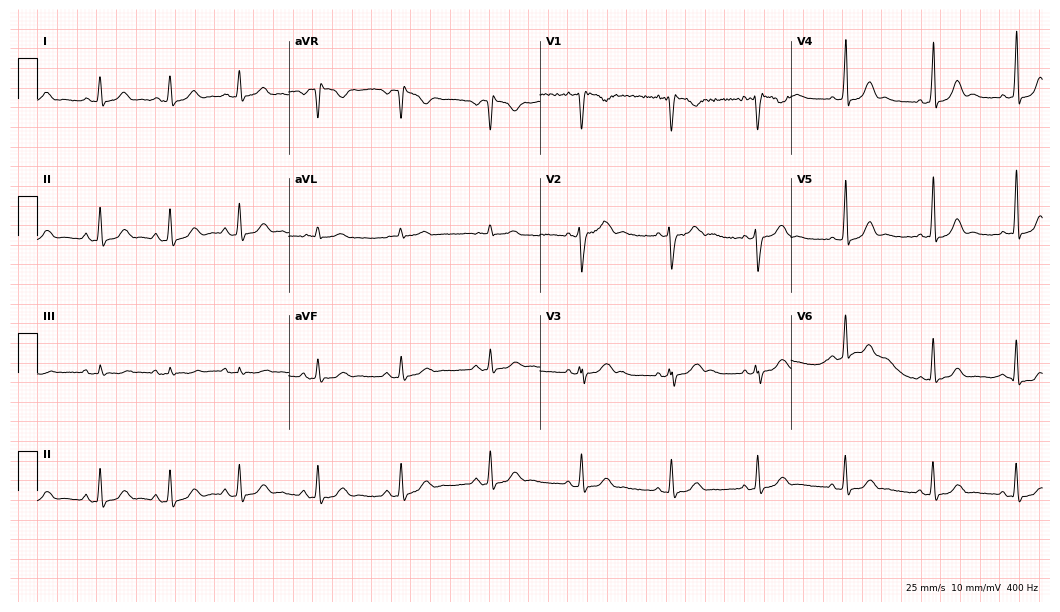
Resting 12-lead electrocardiogram. Patient: a 35-year-old woman. None of these six findings is recorded: first-degree AV block, right bundle branch block, left bundle branch block, sinus bradycardia, atrial fibrillation, sinus tachycardia.